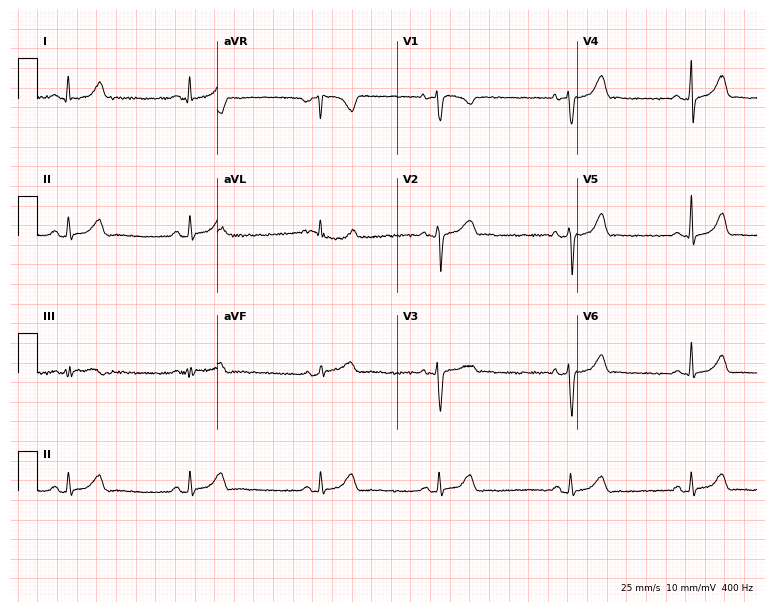
Standard 12-lead ECG recorded from a 22-year-old female (7.3-second recording at 400 Hz). The tracing shows sinus bradycardia (a sinus rate of 50 beats per minute or less).